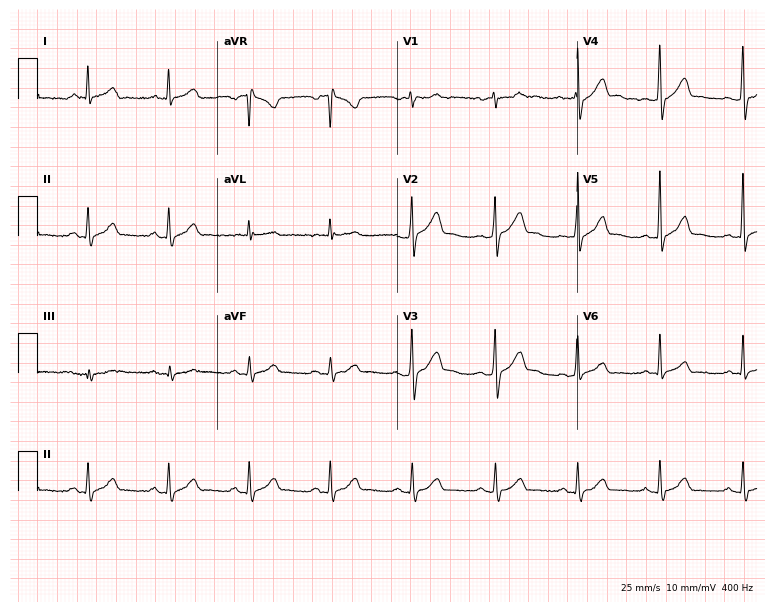
Electrocardiogram, a man, 52 years old. Of the six screened findings (first-degree AV block, right bundle branch block (RBBB), left bundle branch block (LBBB), sinus bradycardia, atrial fibrillation (AF), sinus tachycardia), none is recorded.